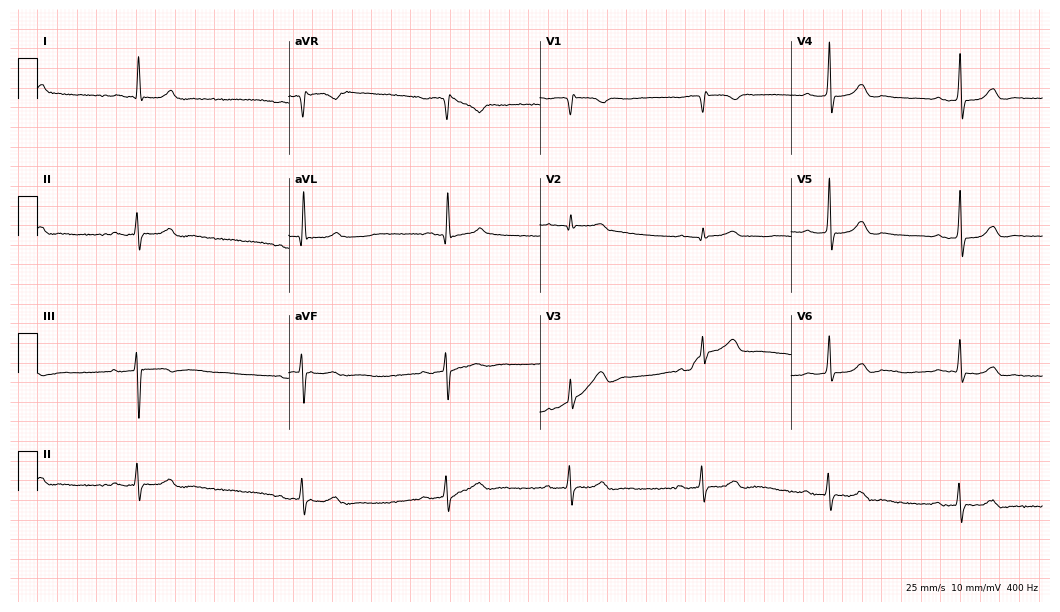
ECG (10.2-second recording at 400 Hz) — a 78-year-old male. Findings include first-degree AV block, sinus bradycardia (a sinus rate of 50 beats per minute or less).